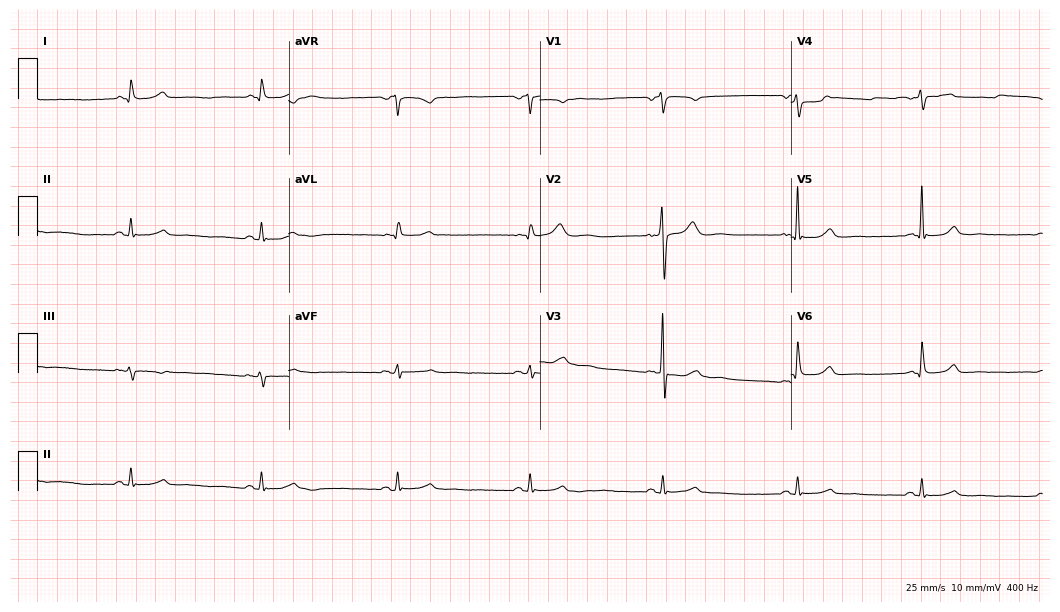
12-lead ECG (10.2-second recording at 400 Hz) from a male patient, 55 years old. Screened for six findings — first-degree AV block, right bundle branch block (RBBB), left bundle branch block (LBBB), sinus bradycardia, atrial fibrillation (AF), sinus tachycardia — none is recorded. Other findings, if any, are not listed.